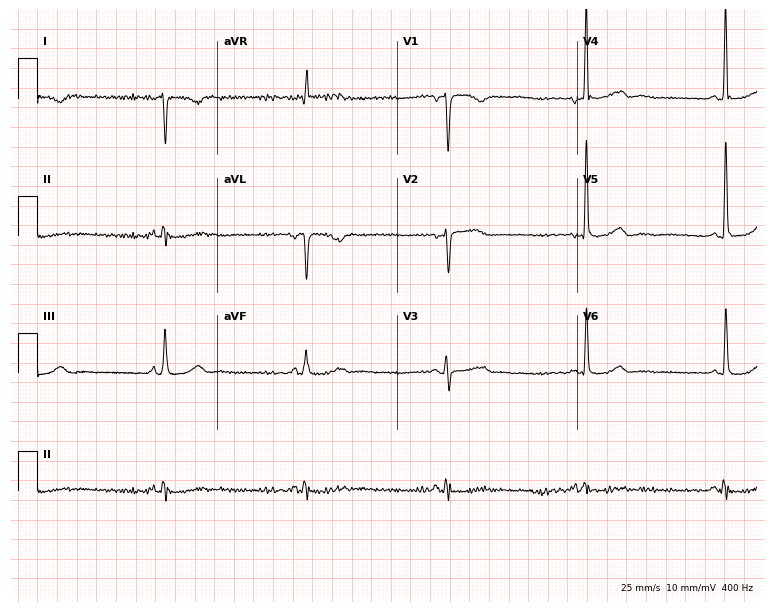
12-lead ECG from a 79-year-old female. Screened for six findings — first-degree AV block, right bundle branch block, left bundle branch block, sinus bradycardia, atrial fibrillation, sinus tachycardia — none is recorded.